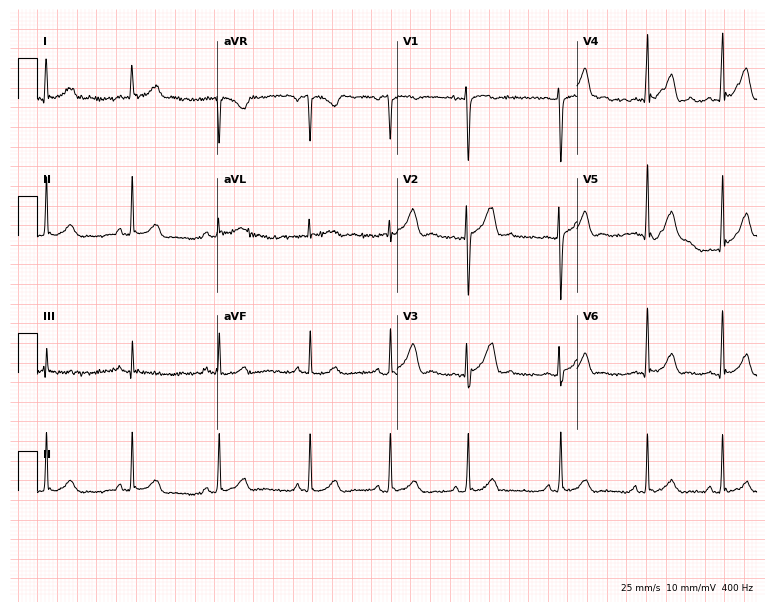
Standard 12-lead ECG recorded from a 22-year-old female (7.3-second recording at 400 Hz). None of these six findings is recorded: first-degree AV block, right bundle branch block, left bundle branch block, sinus bradycardia, atrial fibrillation, sinus tachycardia.